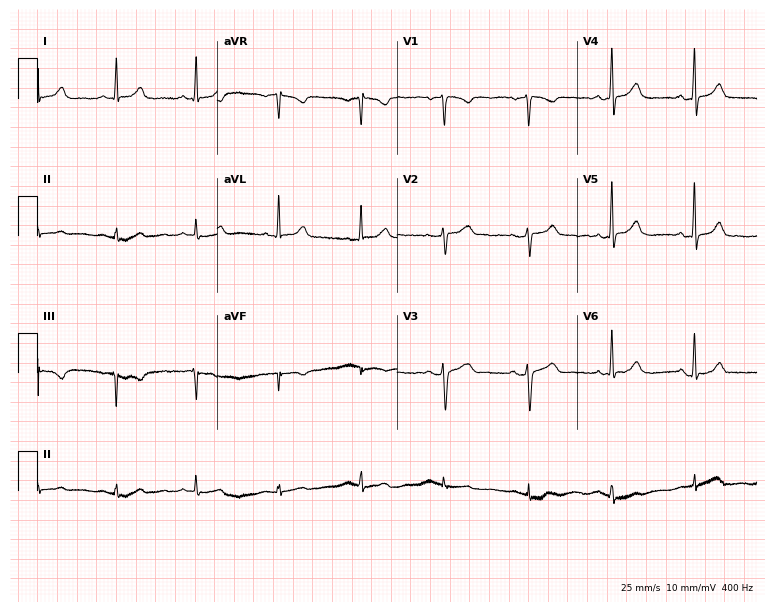
12-lead ECG from a female, 48 years old (7.3-second recording at 400 Hz). No first-degree AV block, right bundle branch block, left bundle branch block, sinus bradycardia, atrial fibrillation or sinus tachycardia recorded for this tracing.